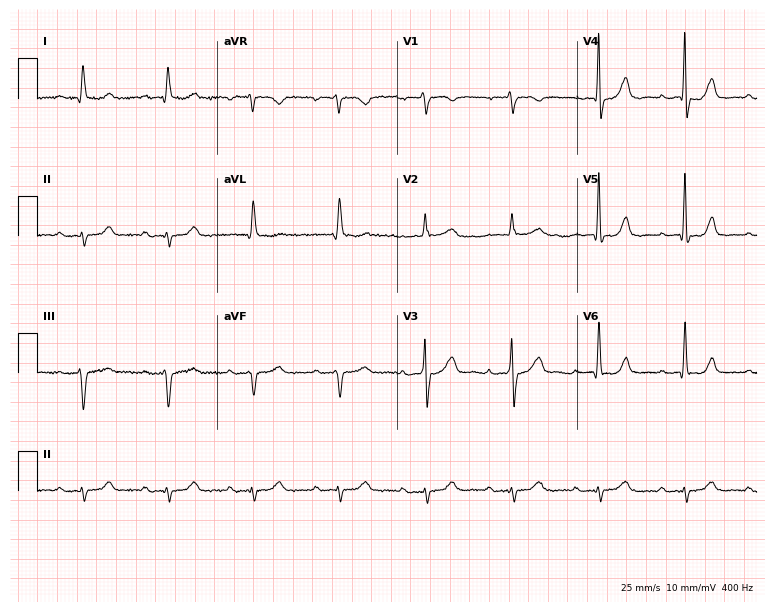
Standard 12-lead ECG recorded from a man, 83 years old. The tracing shows first-degree AV block.